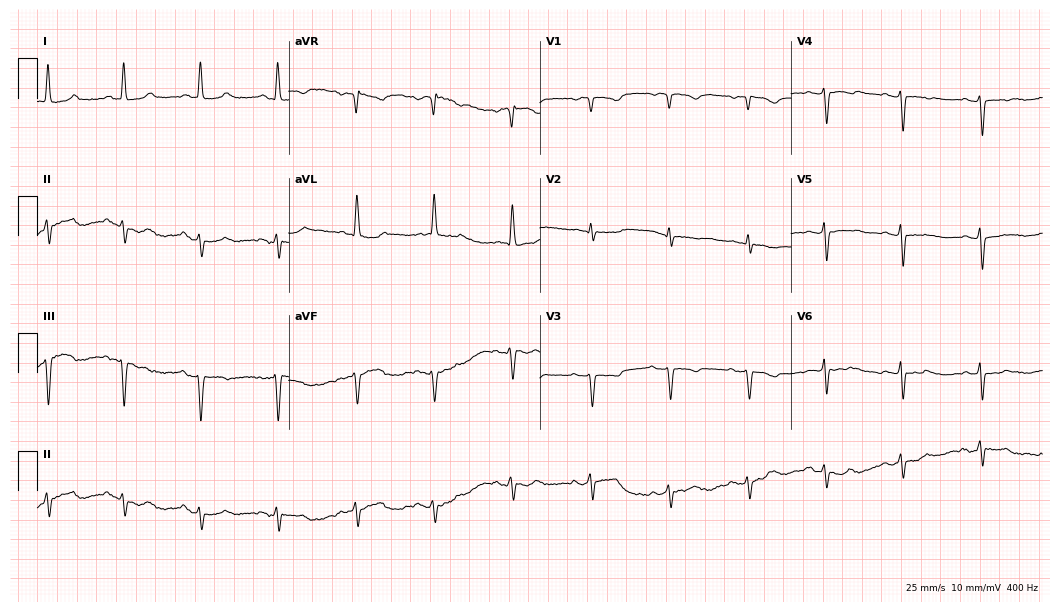
Resting 12-lead electrocardiogram. Patient: a 76-year-old female. None of these six findings is recorded: first-degree AV block, right bundle branch block, left bundle branch block, sinus bradycardia, atrial fibrillation, sinus tachycardia.